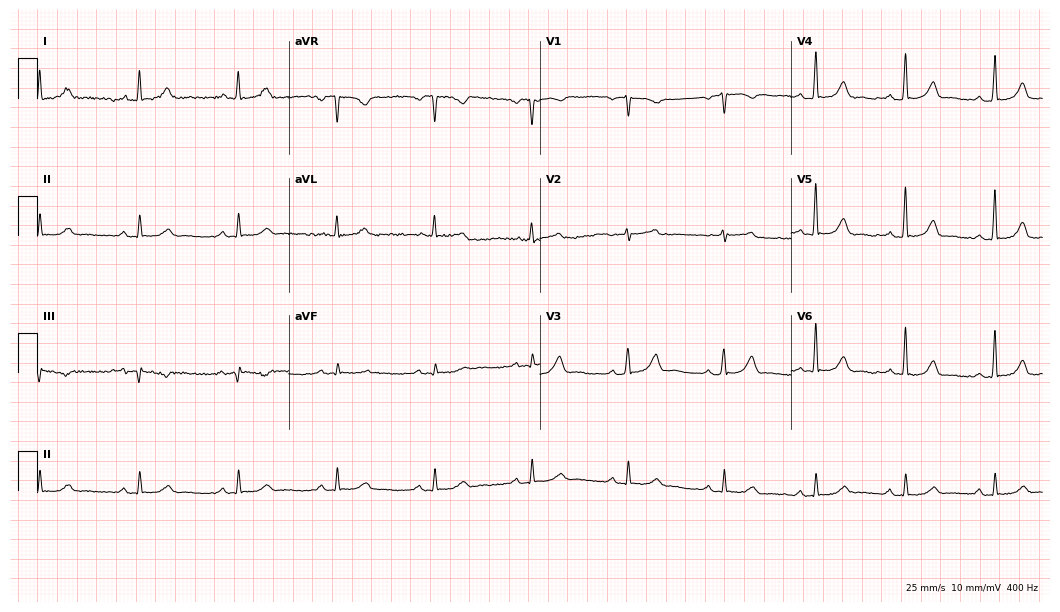
ECG — a female patient, 49 years old. Labelled as a normal ECG.